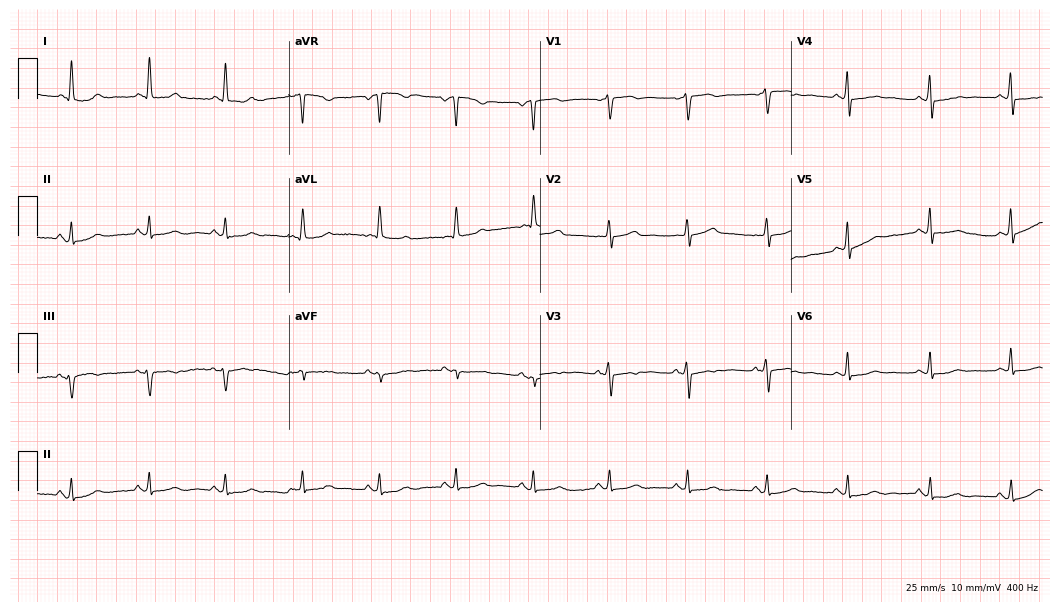
12-lead ECG from a woman, 78 years old (10.2-second recording at 400 Hz). No first-degree AV block, right bundle branch block, left bundle branch block, sinus bradycardia, atrial fibrillation or sinus tachycardia recorded for this tracing. Findings outside these six are not listed.